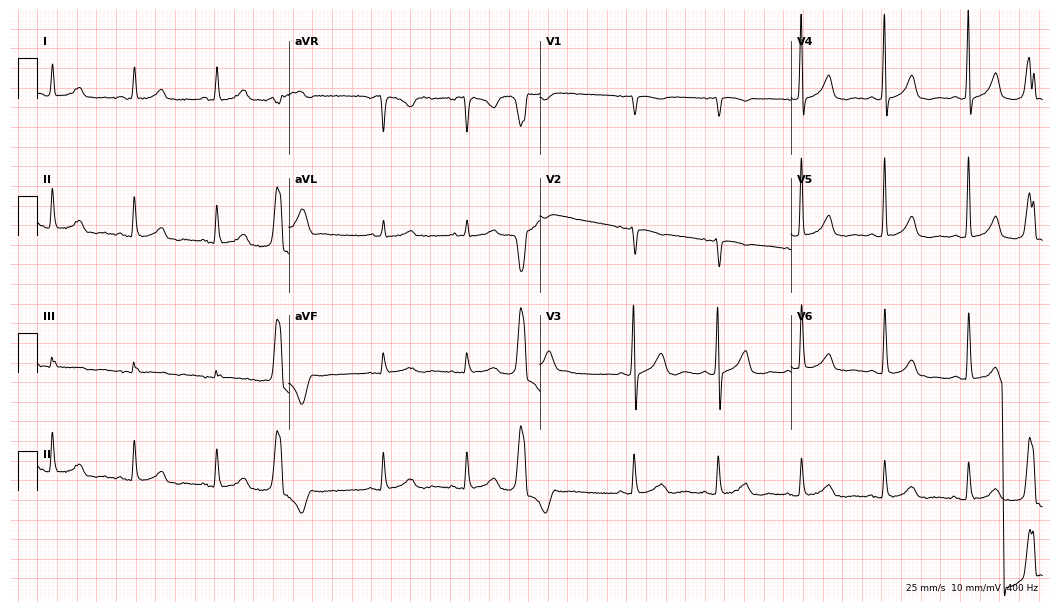
ECG — a female, 81 years old. Screened for six findings — first-degree AV block, right bundle branch block (RBBB), left bundle branch block (LBBB), sinus bradycardia, atrial fibrillation (AF), sinus tachycardia — none is recorded.